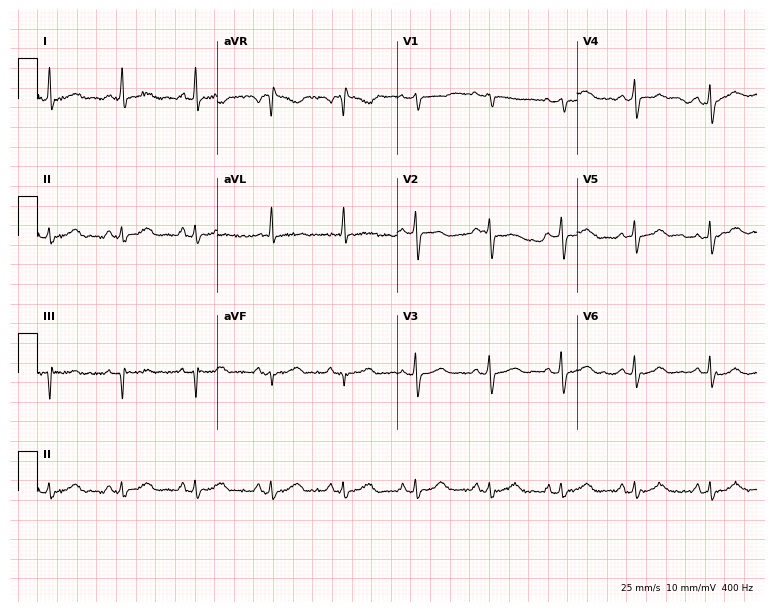
ECG — a 66-year-old woman. Labelled as a normal ECG.